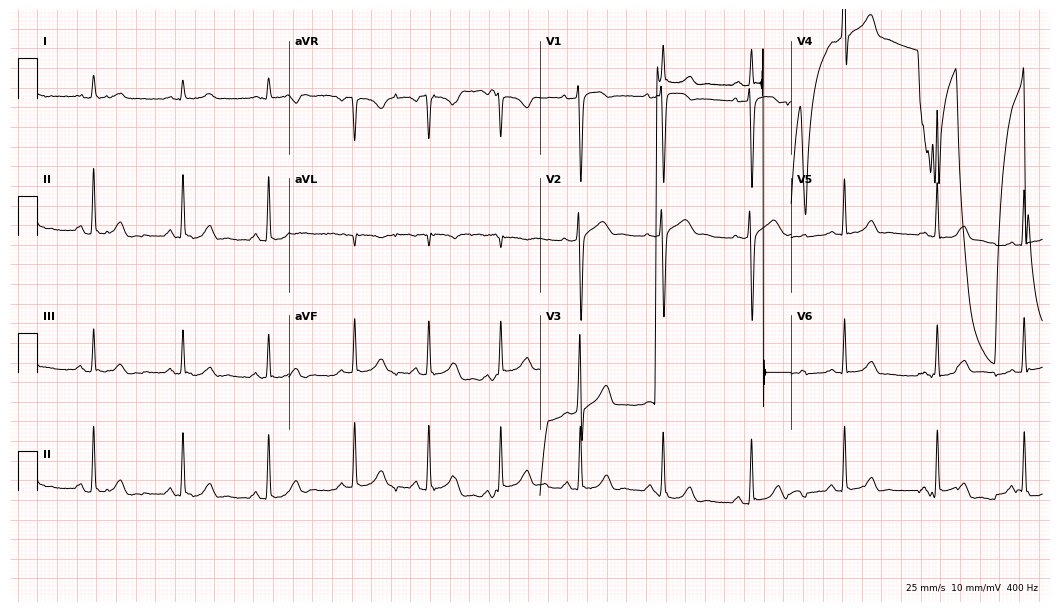
Resting 12-lead electrocardiogram (10.2-second recording at 400 Hz). Patient: a man, 39 years old. None of these six findings is recorded: first-degree AV block, right bundle branch block, left bundle branch block, sinus bradycardia, atrial fibrillation, sinus tachycardia.